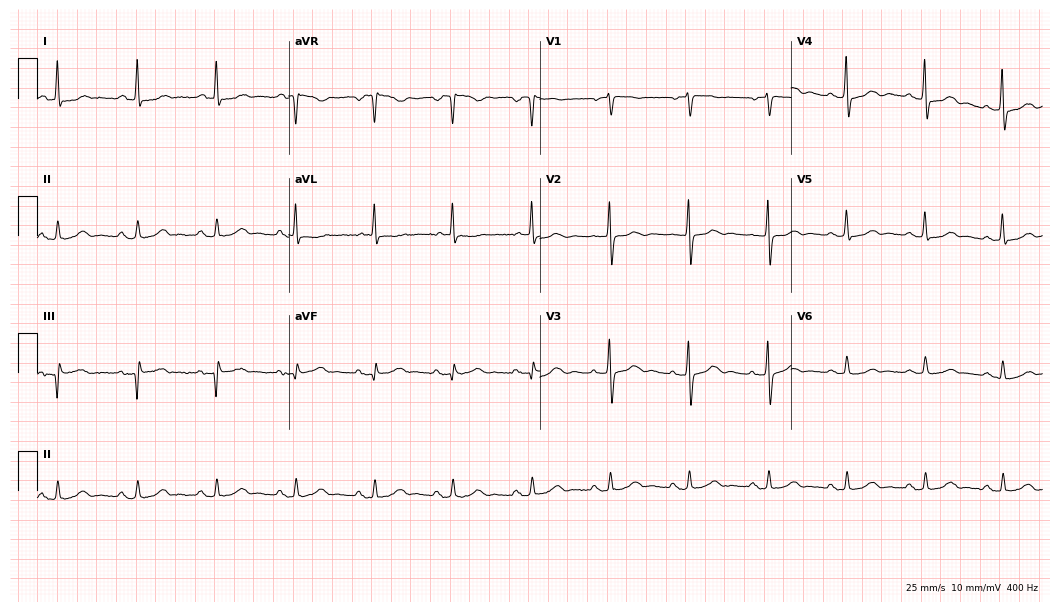
12-lead ECG from a 78-year-old woman. Screened for six findings — first-degree AV block, right bundle branch block (RBBB), left bundle branch block (LBBB), sinus bradycardia, atrial fibrillation (AF), sinus tachycardia — none is recorded.